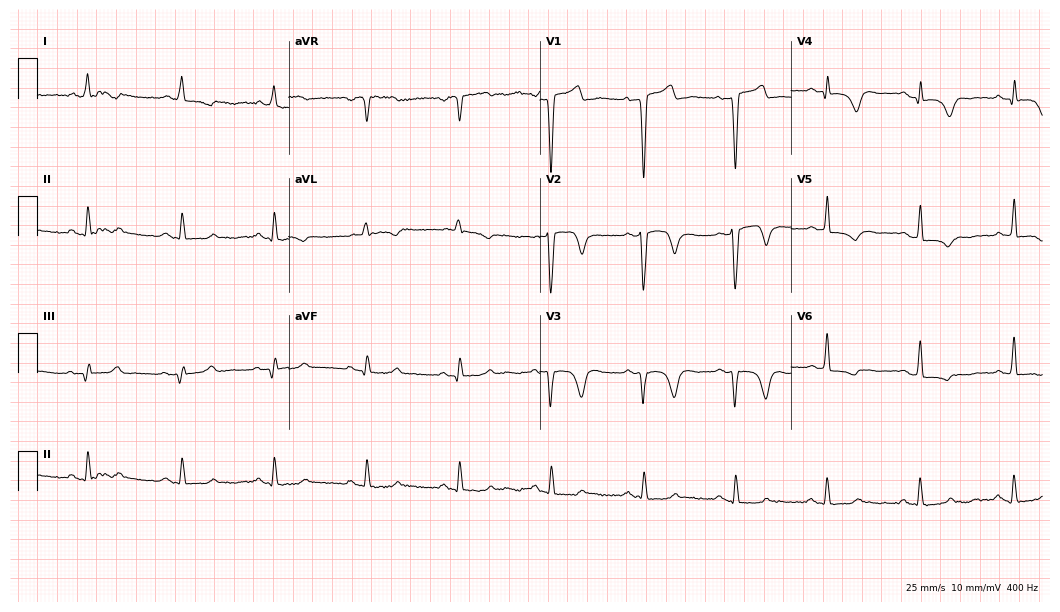
Resting 12-lead electrocardiogram (10.2-second recording at 400 Hz). Patient: a male, 66 years old. None of these six findings is recorded: first-degree AV block, right bundle branch block (RBBB), left bundle branch block (LBBB), sinus bradycardia, atrial fibrillation (AF), sinus tachycardia. Only these six findings were labelled.